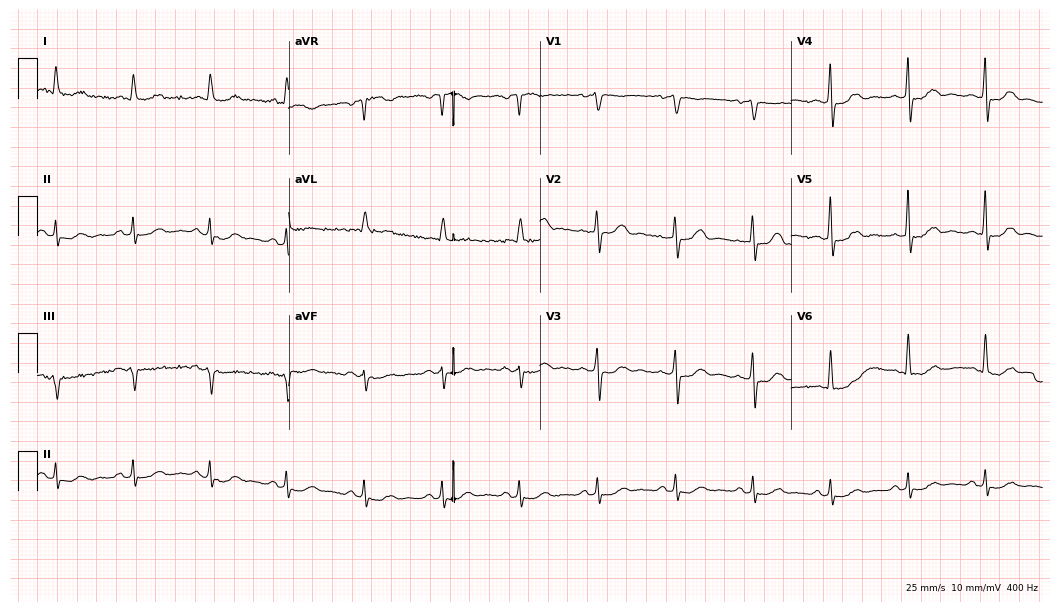
12-lead ECG from a male patient, 71 years old (10.2-second recording at 400 Hz). Recorded interpretation: within normal limits.